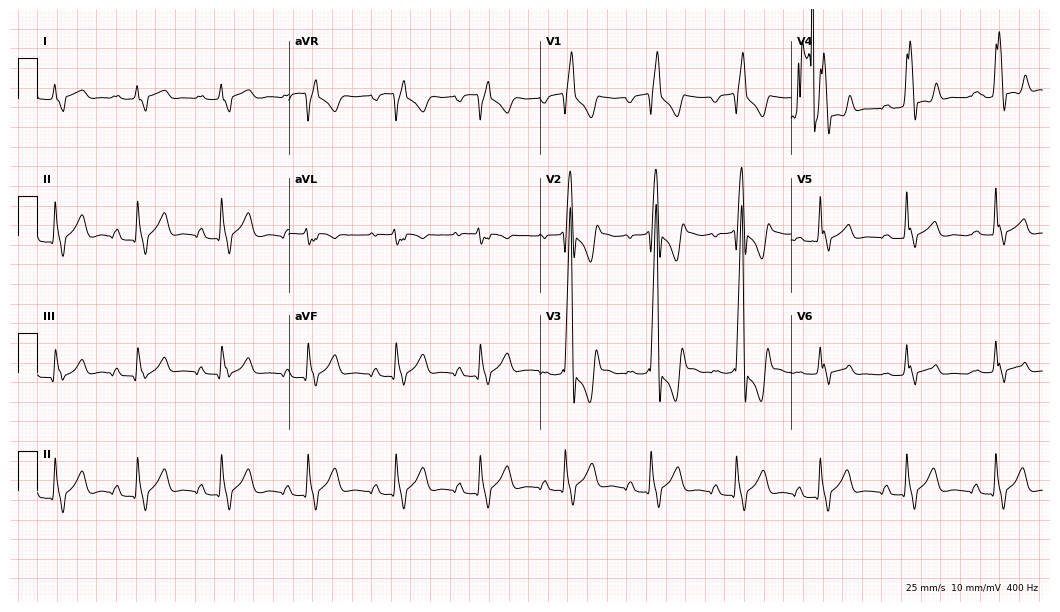
Resting 12-lead electrocardiogram (10.2-second recording at 400 Hz). Patient: a man, 18 years old. None of these six findings is recorded: first-degree AV block, right bundle branch block, left bundle branch block, sinus bradycardia, atrial fibrillation, sinus tachycardia.